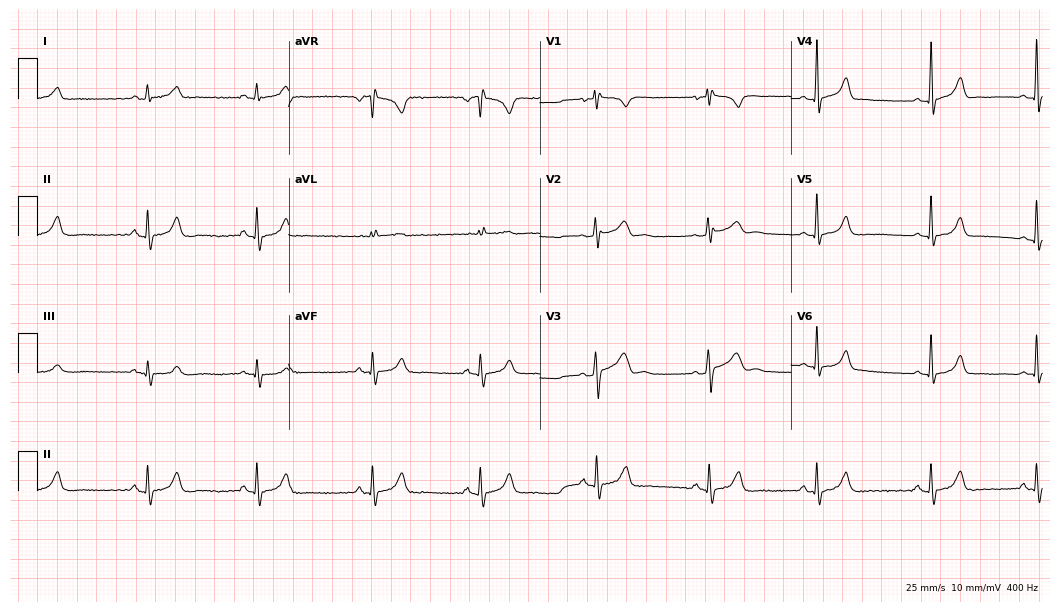
Electrocardiogram, a 29-year-old male patient. Of the six screened findings (first-degree AV block, right bundle branch block, left bundle branch block, sinus bradycardia, atrial fibrillation, sinus tachycardia), none is recorded.